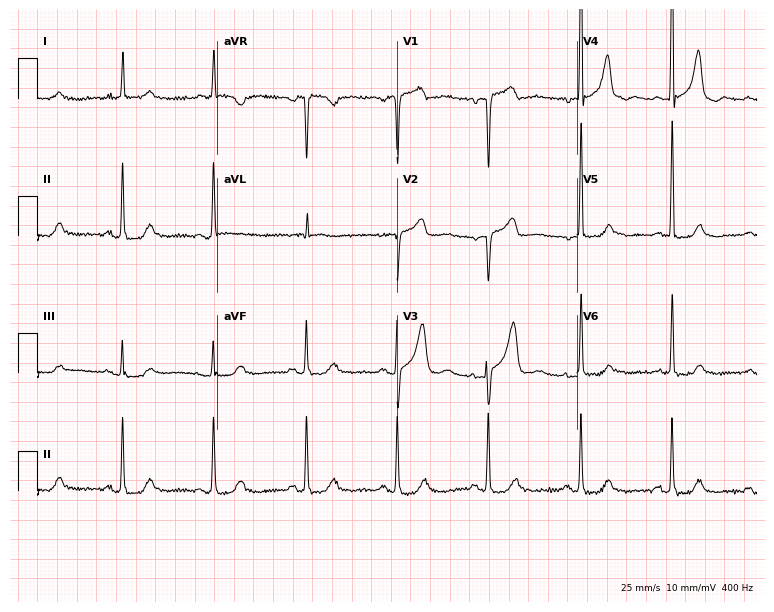
12-lead ECG (7.3-second recording at 400 Hz) from an 83-year-old female patient. Screened for six findings — first-degree AV block, right bundle branch block, left bundle branch block, sinus bradycardia, atrial fibrillation, sinus tachycardia — none is recorded.